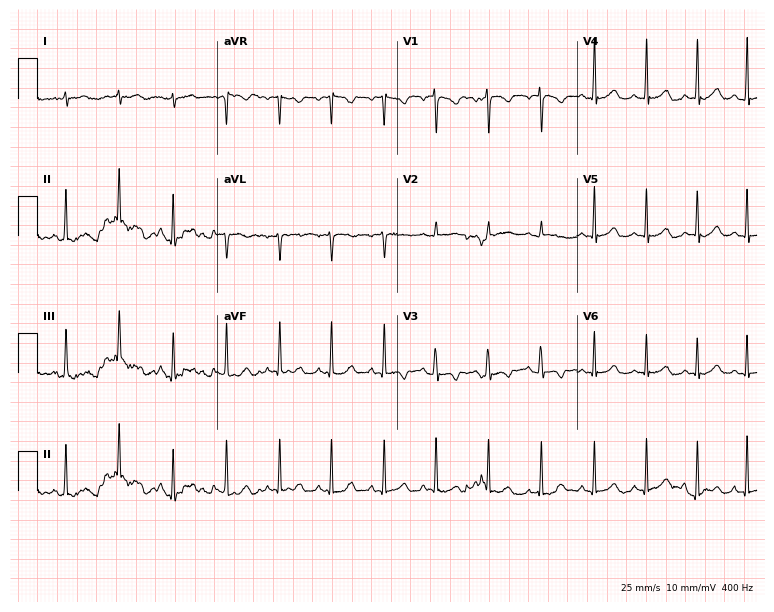
Standard 12-lead ECG recorded from an 18-year-old female. The tracing shows sinus tachycardia (a sinus rate of 100 beats per minute or more).